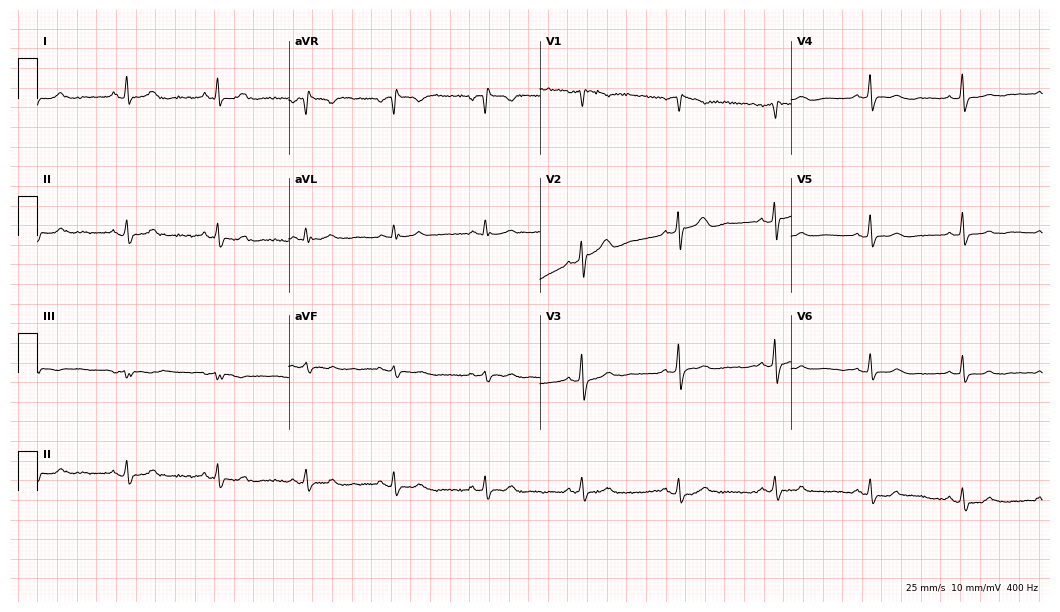
Standard 12-lead ECG recorded from a 54-year-old female. Read as a normal ECG.